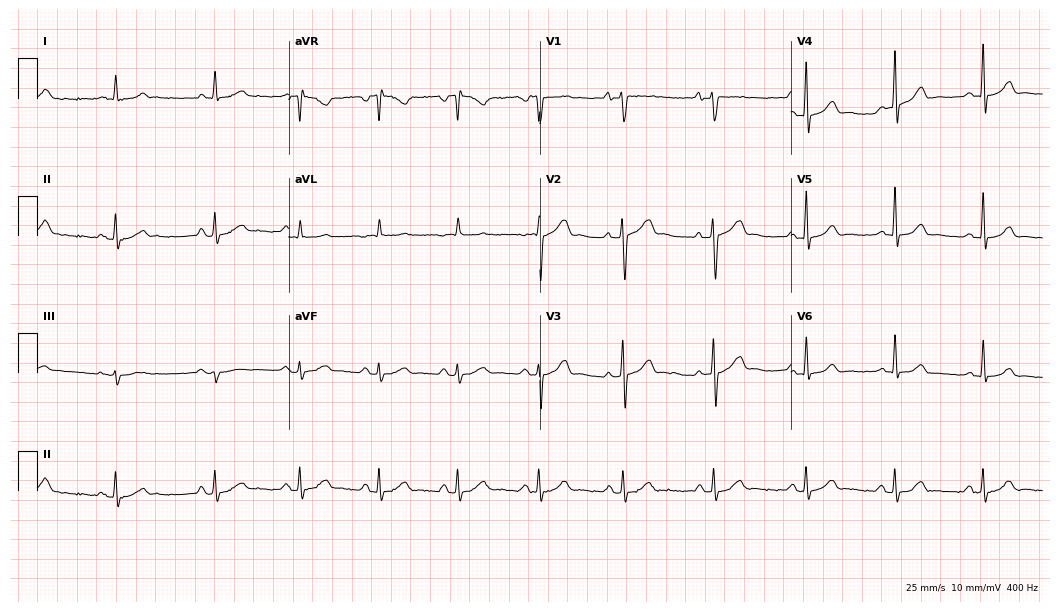
12-lead ECG from a man, 63 years old. No first-degree AV block, right bundle branch block (RBBB), left bundle branch block (LBBB), sinus bradycardia, atrial fibrillation (AF) or sinus tachycardia recorded for this tracing.